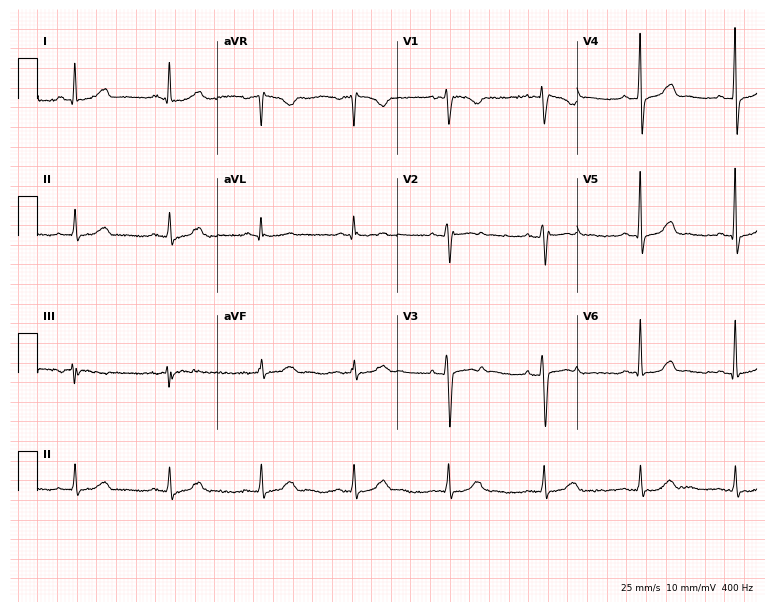
Standard 12-lead ECG recorded from a female, 74 years old (7.3-second recording at 400 Hz). Read as a normal ECG.